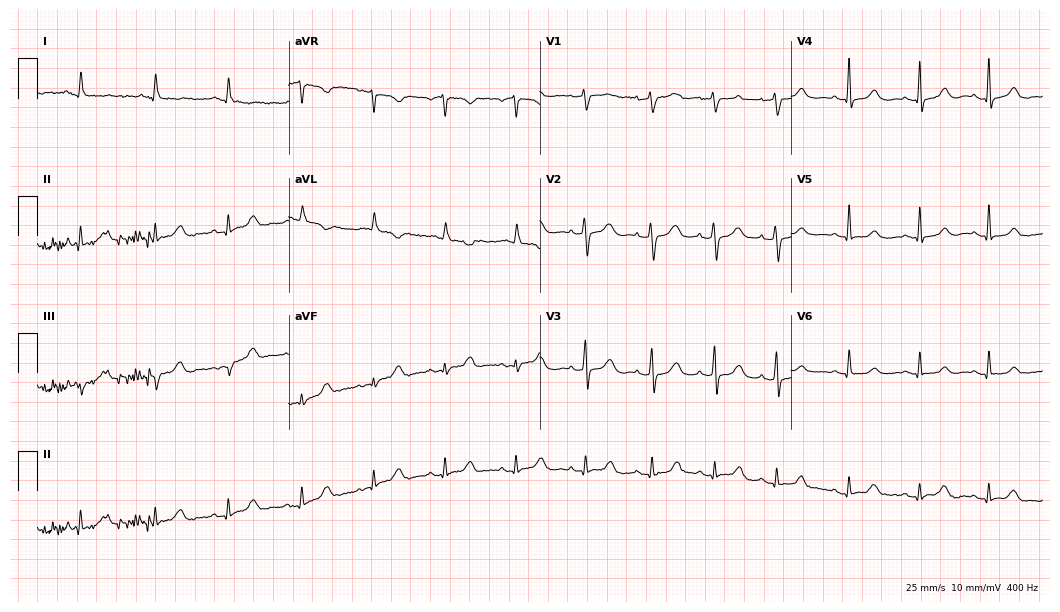
12-lead ECG from a 75-year-old female patient (10.2-second recording at 400 Hz). No first-degree AV block, right bundle branch block, left bundle branch block, sinus bradycardia, atrial fibrillation or sinus tachycardia recorded for this tracing. Findings outside these six are not listed.